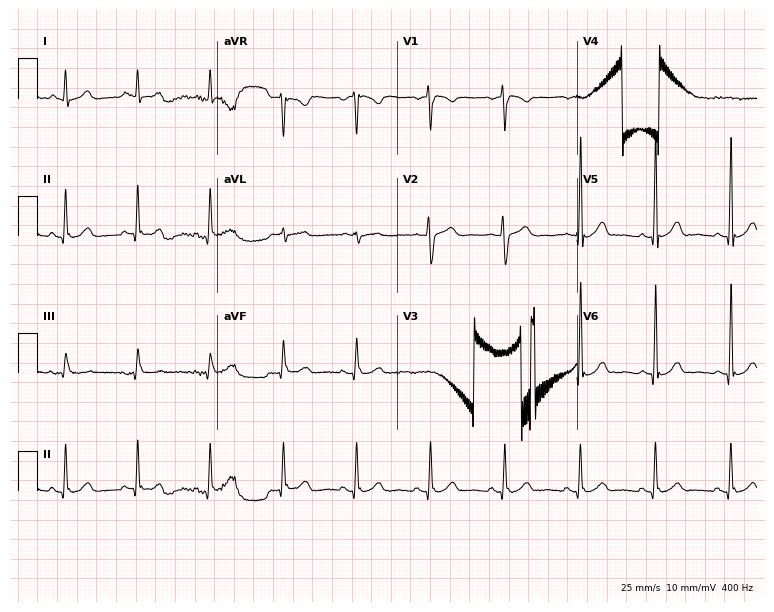
12-lead ECG from a man, 39 years old. Recorded interpretation: within normal limits.